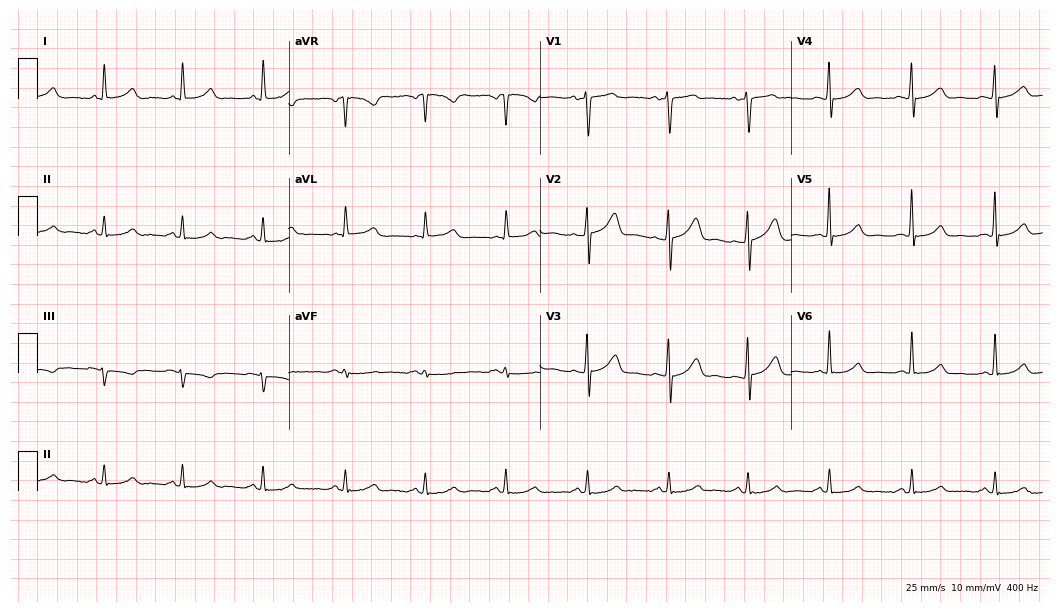
Electrocardiogram (10.2-second recording at 400 Hz), a 44-year-old woman. Overall reading on record: normal ECG.